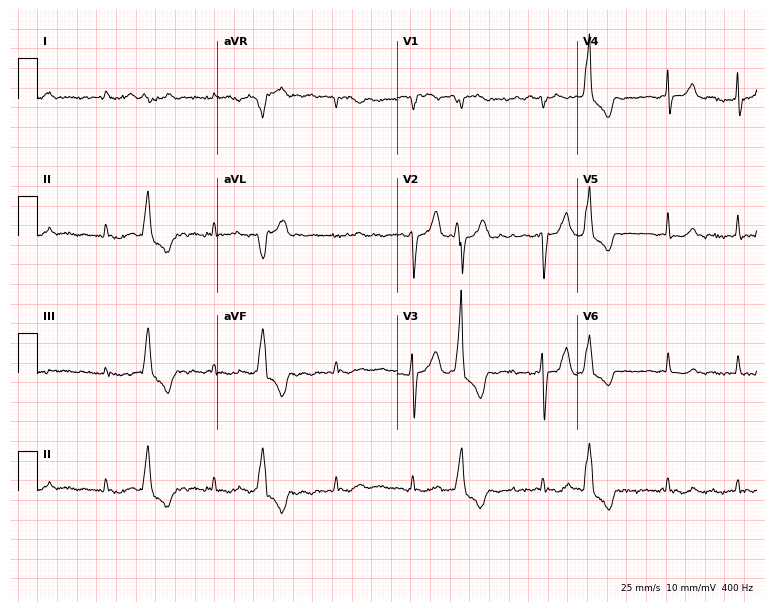
ECG — a female, 85 years old. Findings include atrial fibrillation.